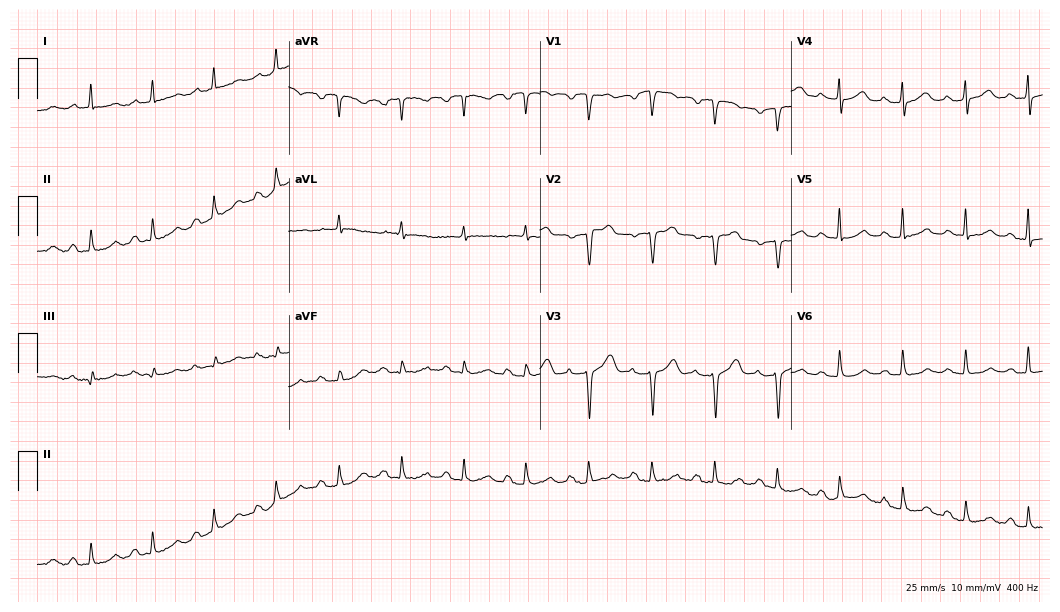
Standard 12-lead ECG recorded from a male patient, 80 years old (10.2-second recording at 400 Hz). None of these six findings is recorded: first-degree AV block, right bundle branch block (RBBB), left bundle branch block (LBBB), sinus bradycardia, atrial fibrillation (AF), sinus tachycardia.